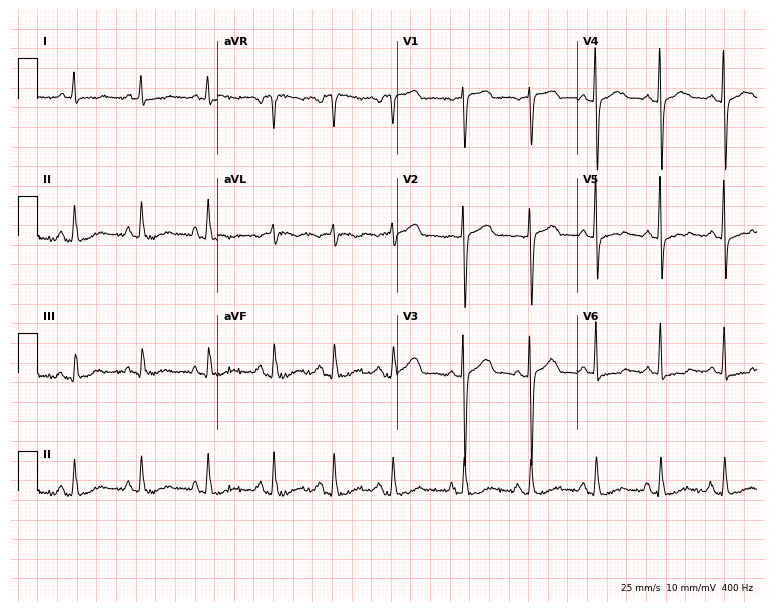
12-lead ECG from a female patient, 58 years old. Screened for six findings — first-degree AV block, right bundle branch block, left bundle branch block, sinus bradycardia, atrial fibrillation, sinus tachycardia — none is recorded. Other findings, if any, are not listed.